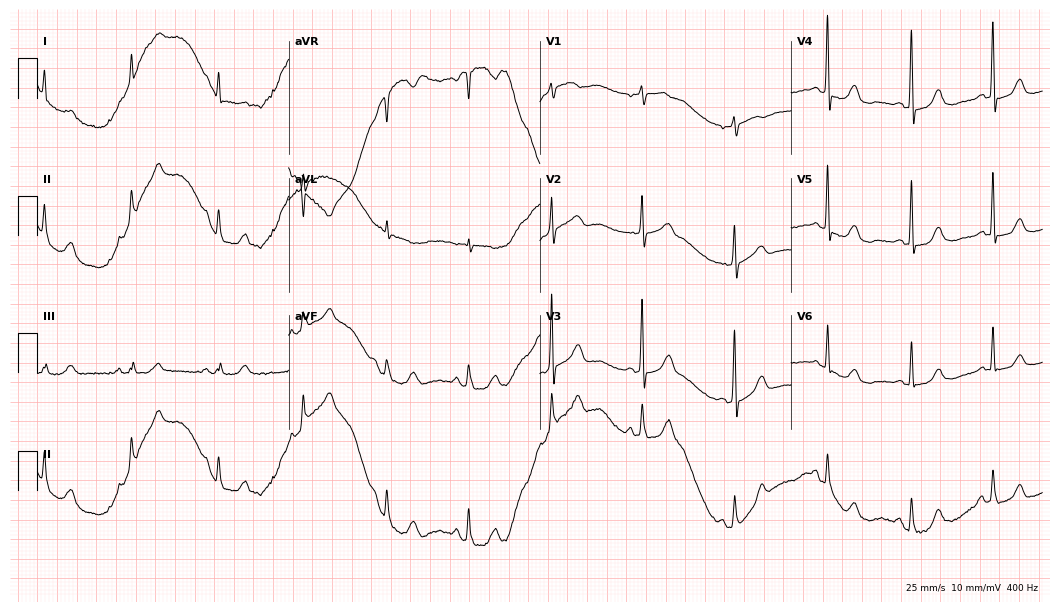
Standard 12-lead ECG recorded from a woman, 58 years old. Read as a normal ECG.